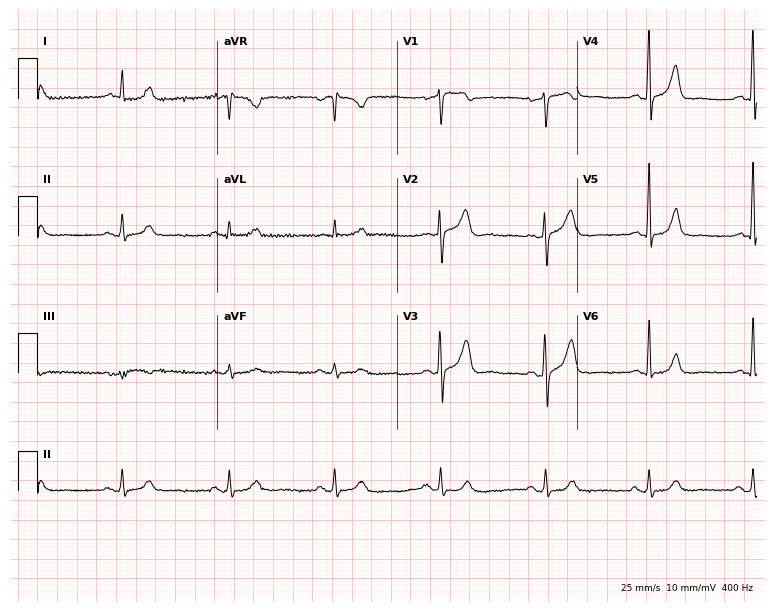
Resting 12-lead electrocardiogram. Patient: a 57-year-old male. None of these six findings is recorded: first-degree AV block, right bundle branch block (RBBB), left bundle branch block (LBBB), sinus bradycardia, atrial fibrillation (AF), sinus tachycardia.